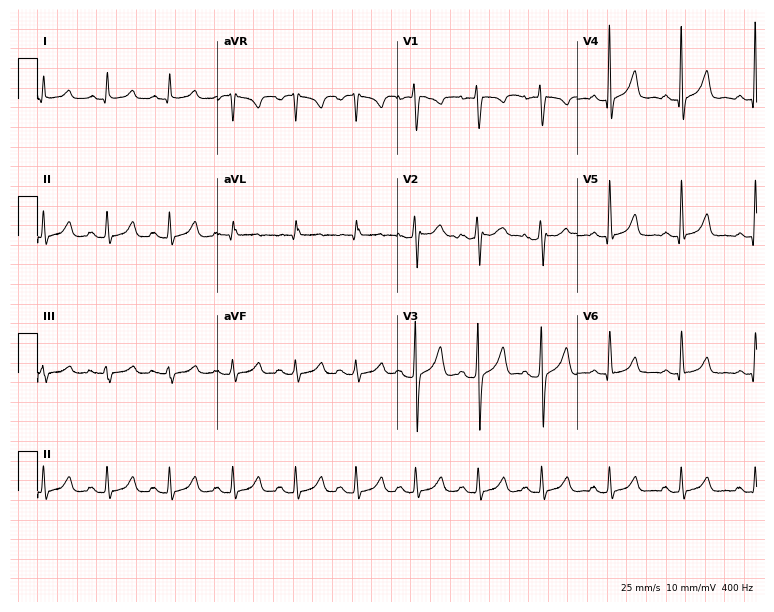
Standard 12-lead ECG recorded from a male, 37 years old (7.3-second recording at 400 Hz). Read as a normal ECG.